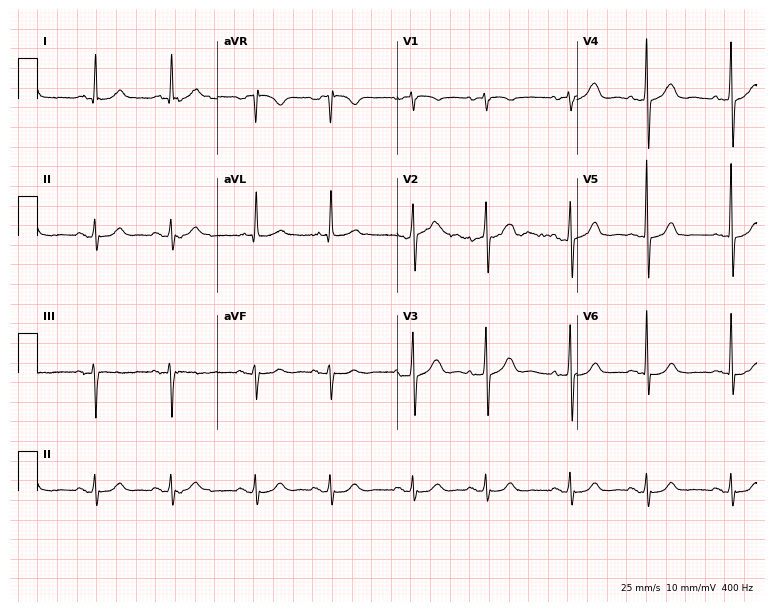
ECG — a 73-year-old woman. Labelled as a normal ECG.